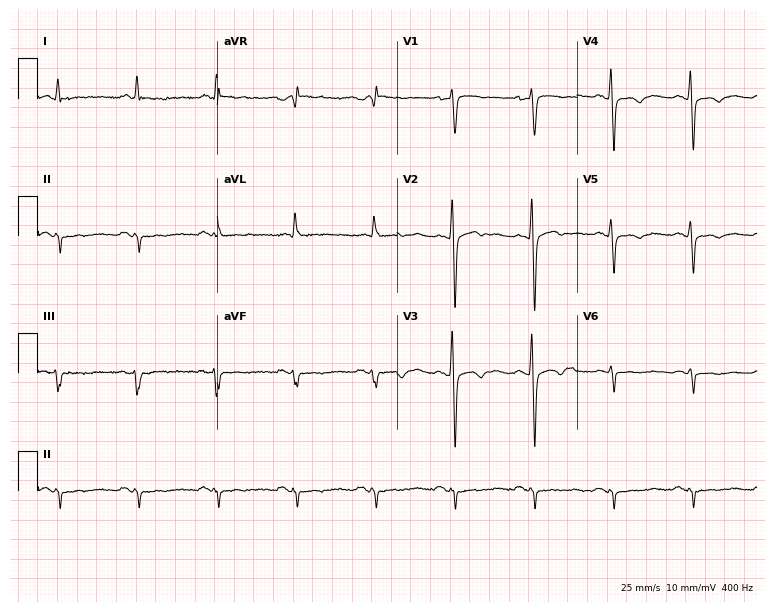
12-lead ECG from a 62-year-old male patient. No first-degree AV block, right bundle branch block, left bundle branch block, sinus bradycardia, atrial fibrillation or sinus tachycardia recorded for this tracing. Only these six findings were labelled.